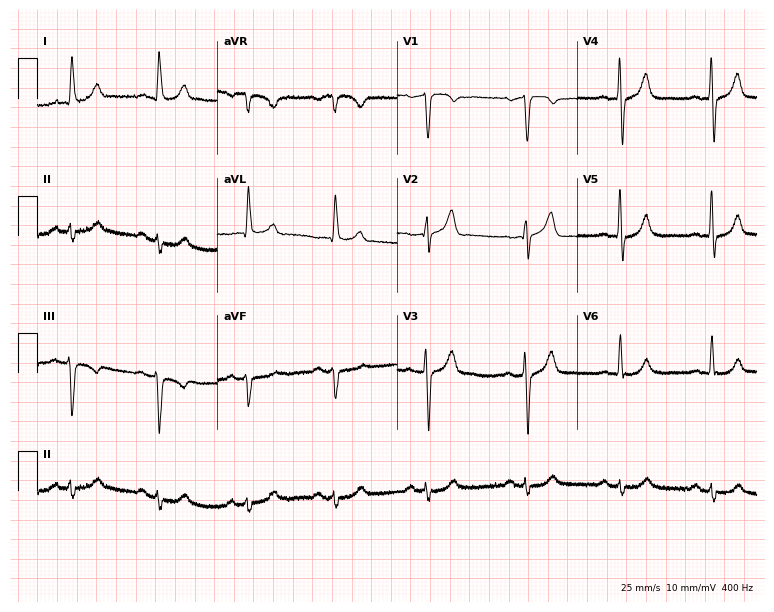
Electrocardiogram (7.3-second recording at 400 Hz), a 74-year-old male patient. Of the six screened findings (first-degree AV block, right bundle branch block (RBBB), left bundle branch block (LBBB), sinus bradycardia, atrial fibrillation (AF), sinus tachycardia), none is recorded. Other findings, if any, are not listed.